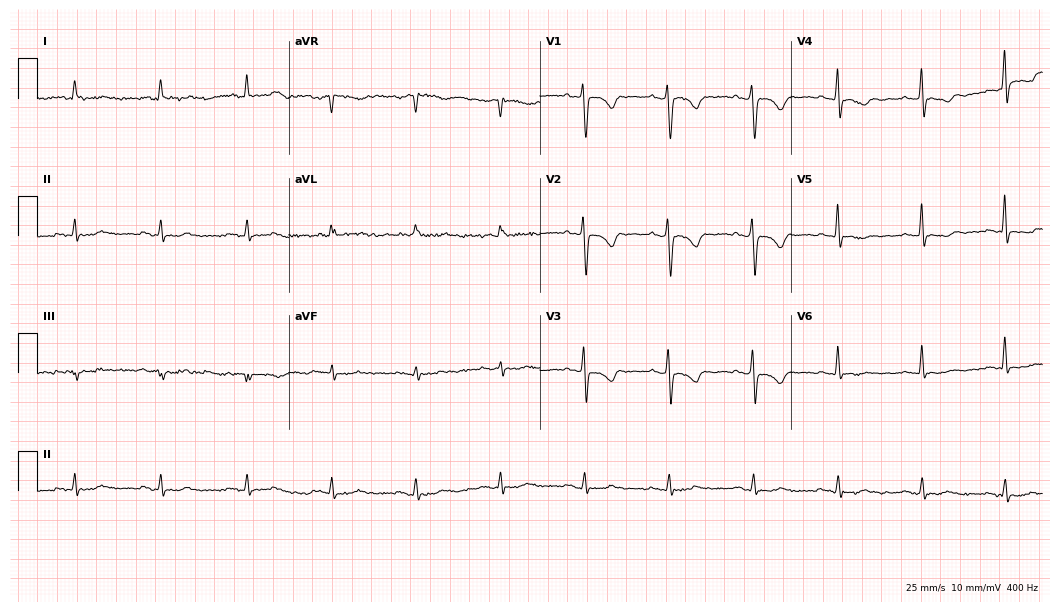
12-lead ECG from a 58-year-old female patient (10.2-second recording at 400 Hz). No first-degree AV block, right bundle branch block, left bundle branch block, sinus bradycardia, atrial fibrillation or sinus tachycardia recorded for this tracing. Other findings, if any, are not listed.